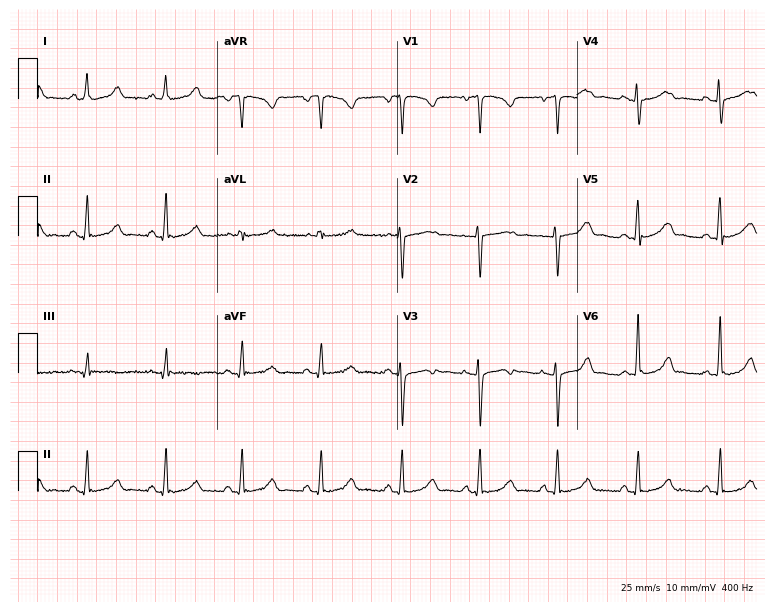
12-lead ECG (7.3-second recording at 400 Hz) from a woman, 26 years old. Labelled as a normal ECG.